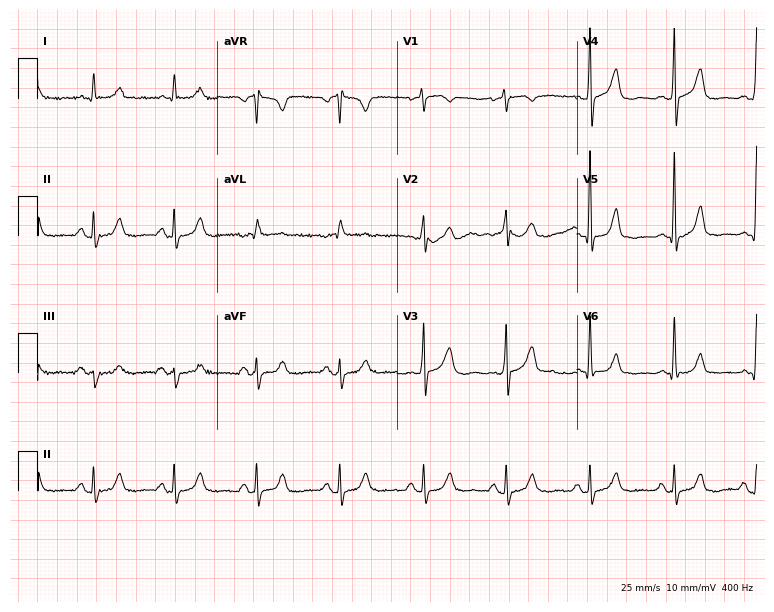
Electrocardiogram, a male patient, 72 years old. Of the six screened findings (first-degree AV block, right bundle branch block (RBBB), left bundle branch block (LBBB), sinus bradycardia, atrial fibrillation (AF), sinus tachycardia), none is recorded. Findings outside these six are not listed.